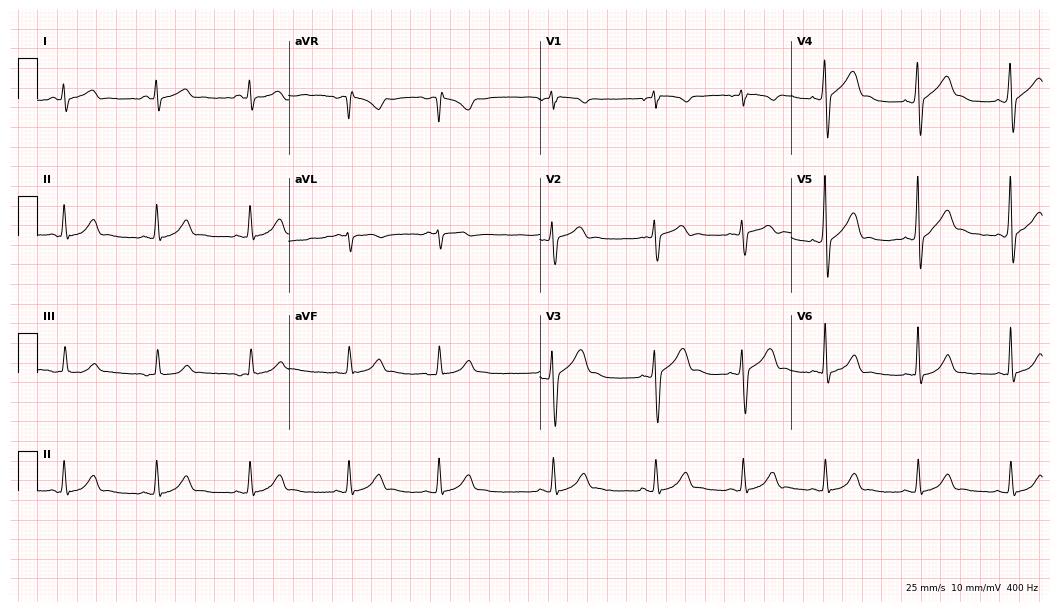
12-lead ECG from a male patient, 28 years old. Labelled as a normal ECG.